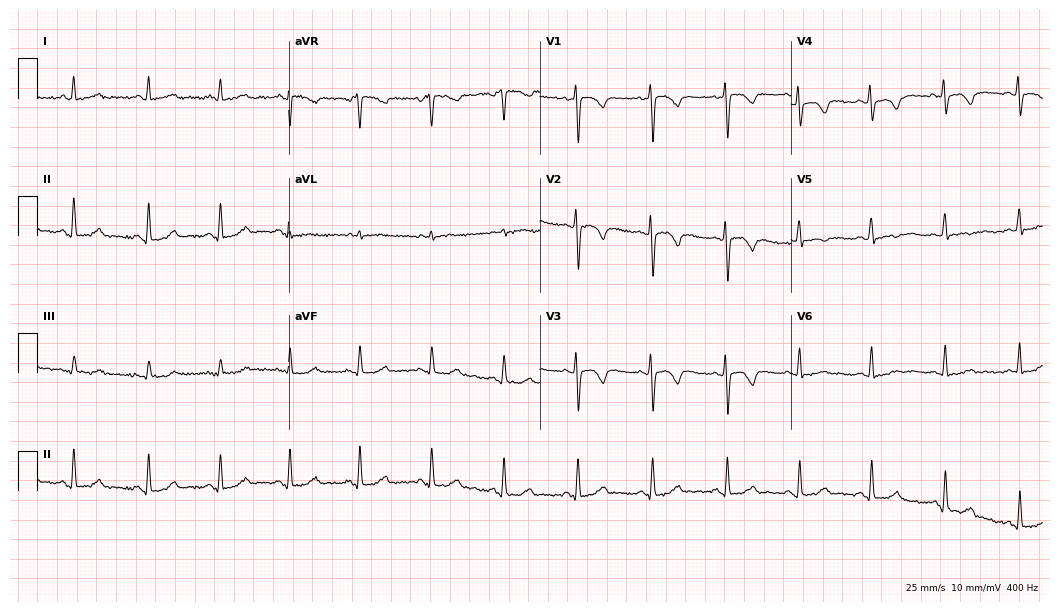
12-lead ECG from a 33-year-old woman. No first-degree AV block, right bundle branch block, left bundle branch block, sinus bradycardia, atrial fibrillation or sinus tachycardia recorded for this tracing.